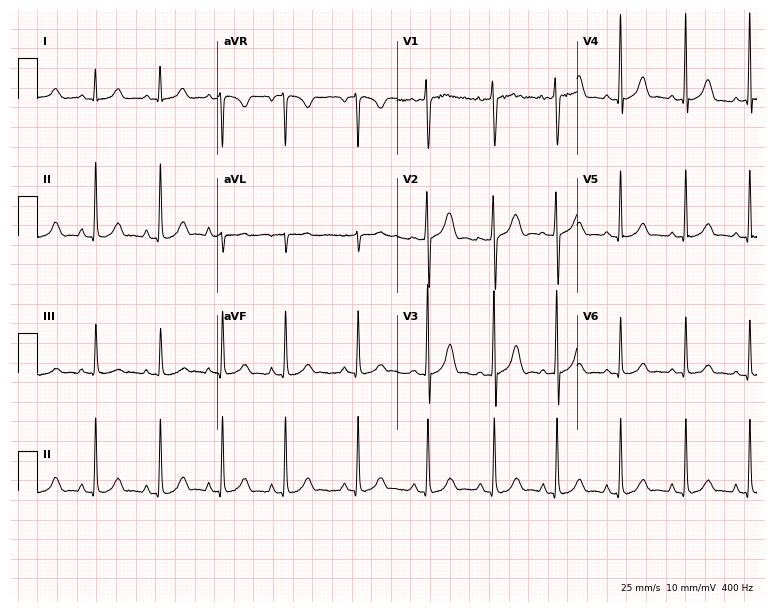
ECG (7.3-second recording at 400 Hz) — an 18-year-old female patient. Labelled as a normal ECG.